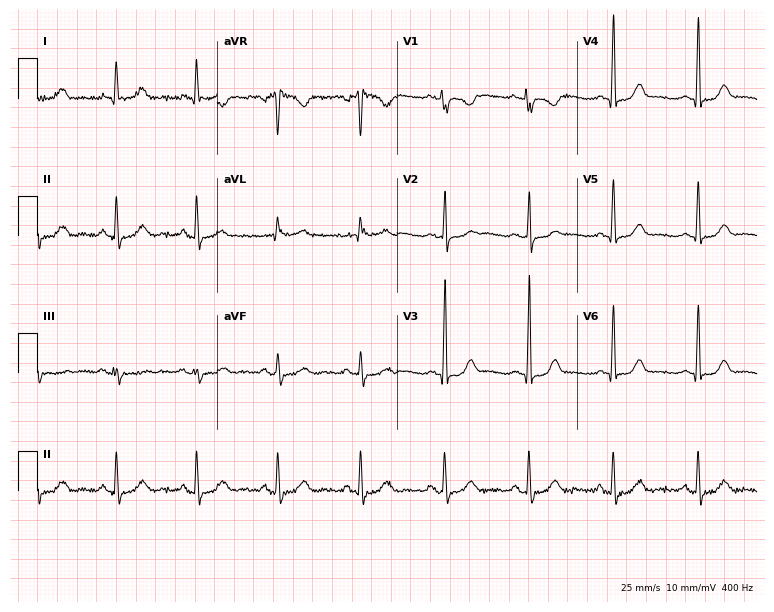
12-lead ECG from a woman, 56 years old. Screened for six findings — first-degree AV block, right bundle branch block, left bundle branch block, sinus bradycardia, atrial fibrillation, sinus tachycardia — none is recorded.